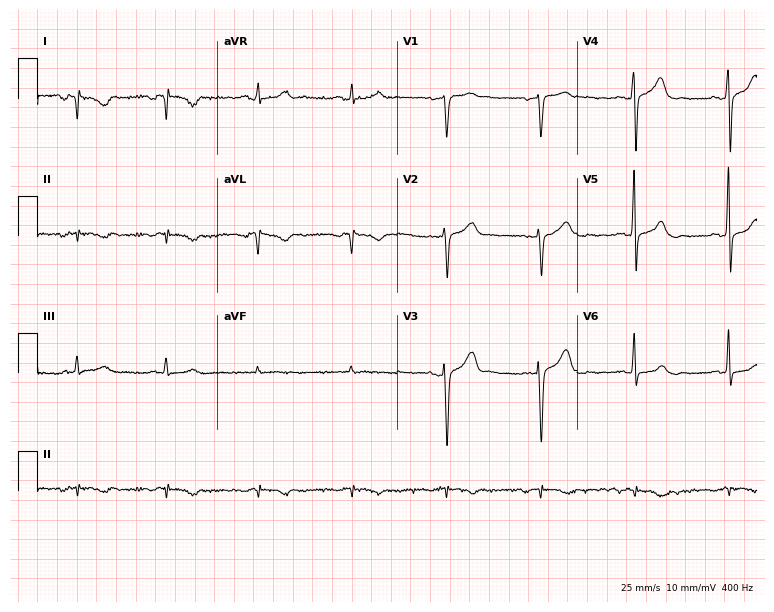
12-lead ECG from a man, 53 years old. No first-degree AV block, right bundle branch block (RBBB), left bundle branch block (LBBB), sinus bradycardia, atrial fibrillation (AF) or sinus tachycardia recorded for this tracing.